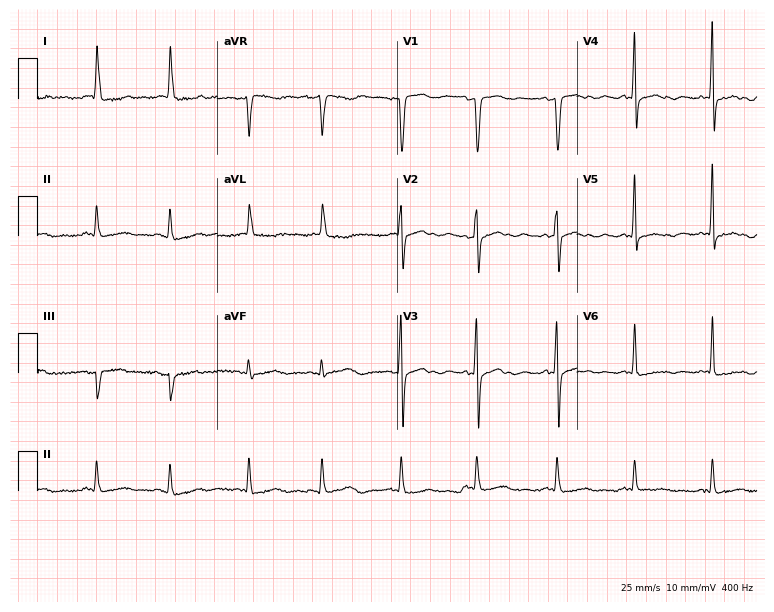
ECG — a 70-year-old woman. Labelled as a normal ECG.